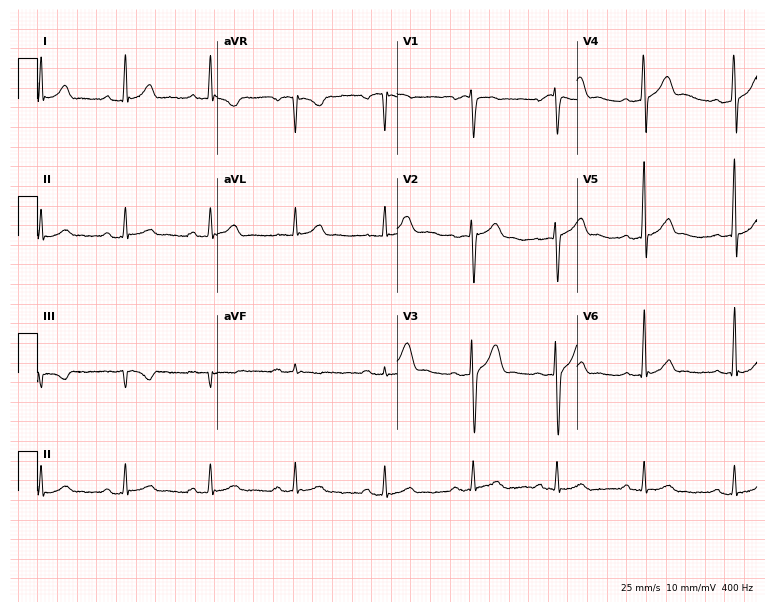
12-lead ECG from a 34-year-old male. Labelled as a normal ECG.